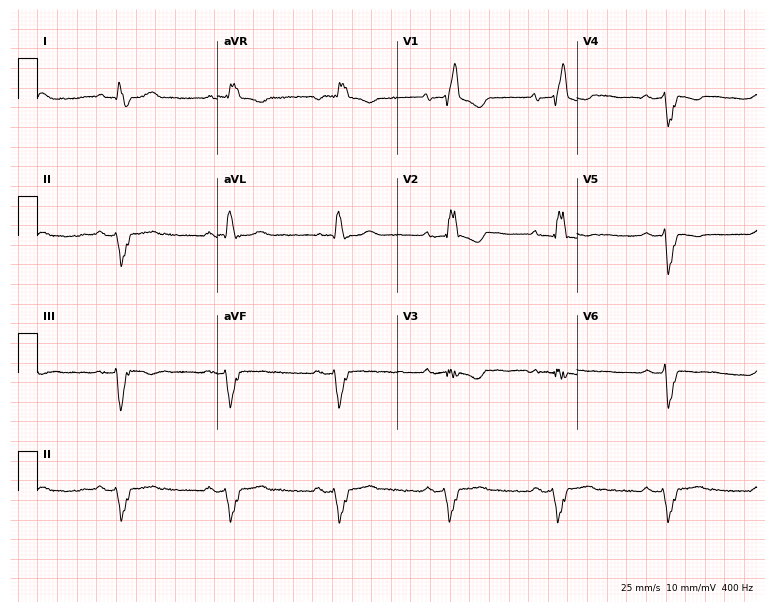
12-lead ECG from a 59-year-old male patient. Findings include right bundle branch block.